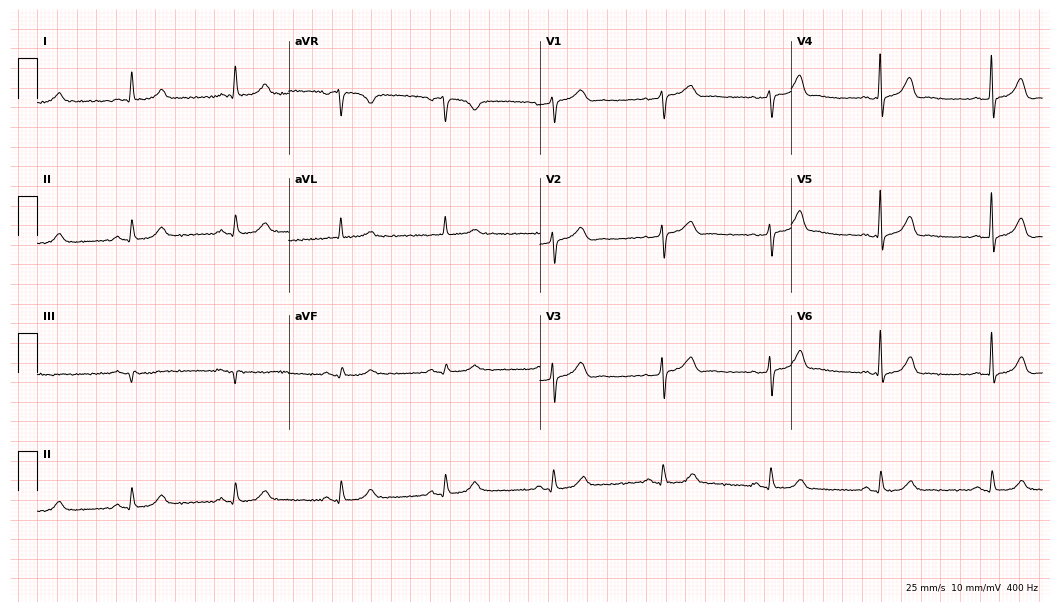
Standard 12-lead ECG recorded from a man, 60 years old. None of these six findings is recorded: first-degree AV block, right bundle branch block, left bundle branch block, sinus bradycardia, atrial fibrillation, sinus tachycardia.